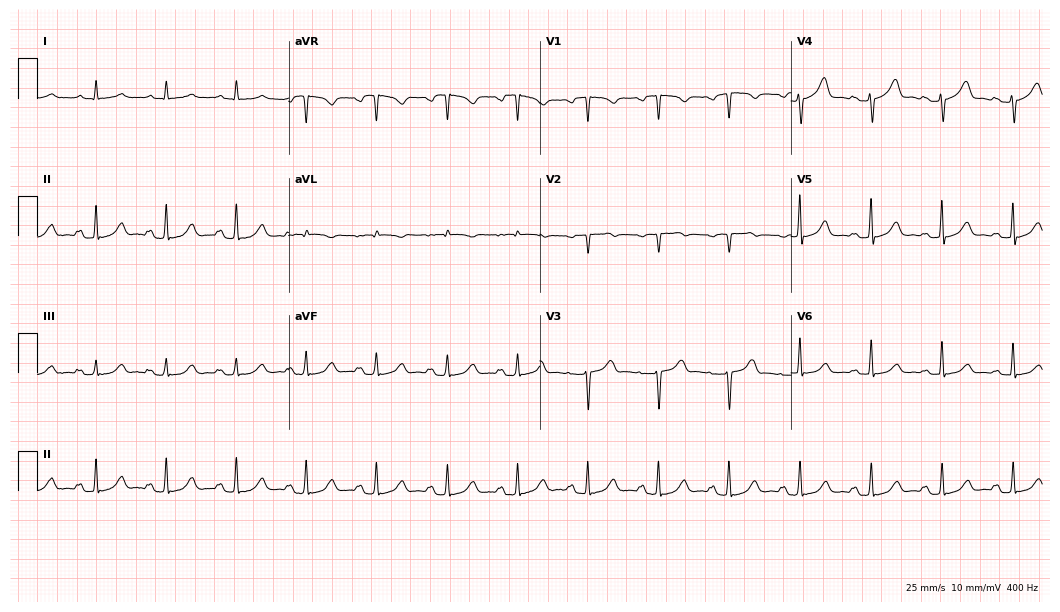
12-lead ECG from a woman, 79 years old (10.2-second recording at 400 Hz). No first-degree AV block, right bundle branch block, left bundle branch block, sinus bradycardia, atrial fibrillation or sinus tachycardia recorded for this tracing. Other findings, if any, are not listed.